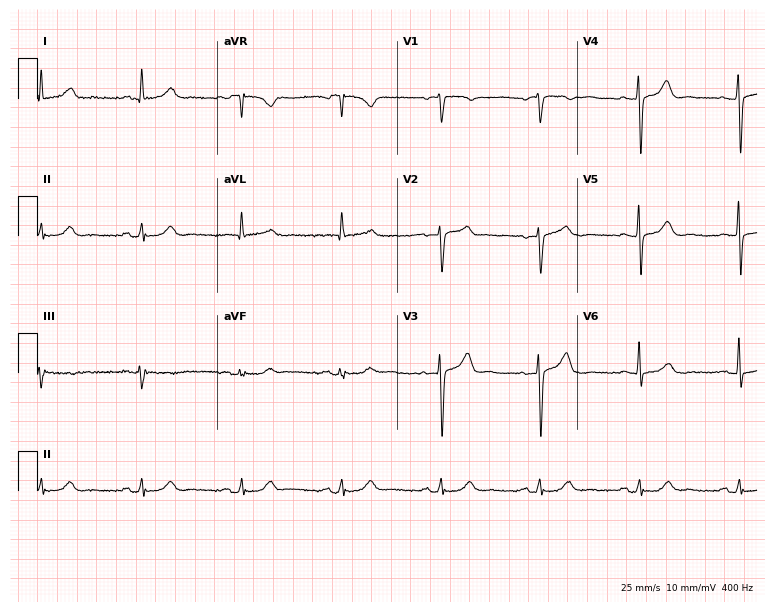
ECG — a man, 73 years old. Labelled as a normal ECG.